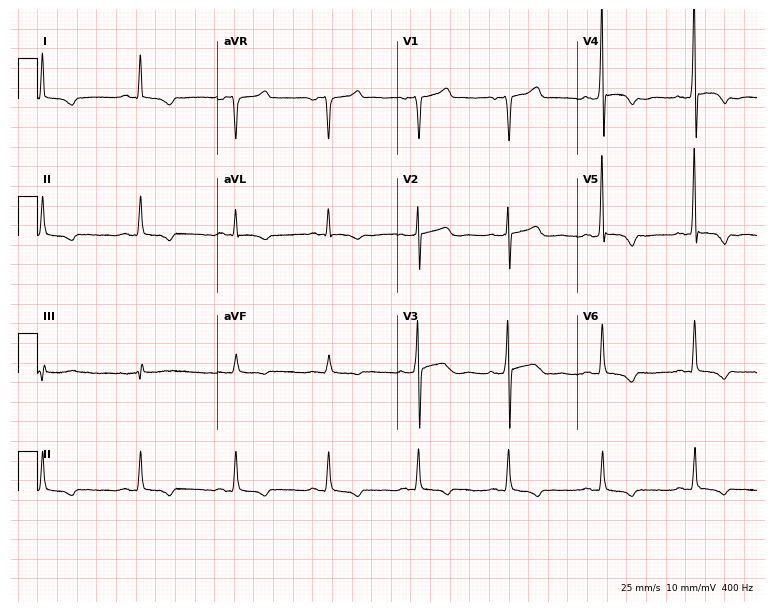
Resting 12-lead electrocardiogram (7.3-second recording at 400 Hz). Patient: a 56-year-old male. None of these six findings is recorded: first-degree AV block, right bundle branch block (RBBB), left bundle branch block (LBBB), sinus bradycardia, atrial fibrillation (AF), sinus tachycardia.